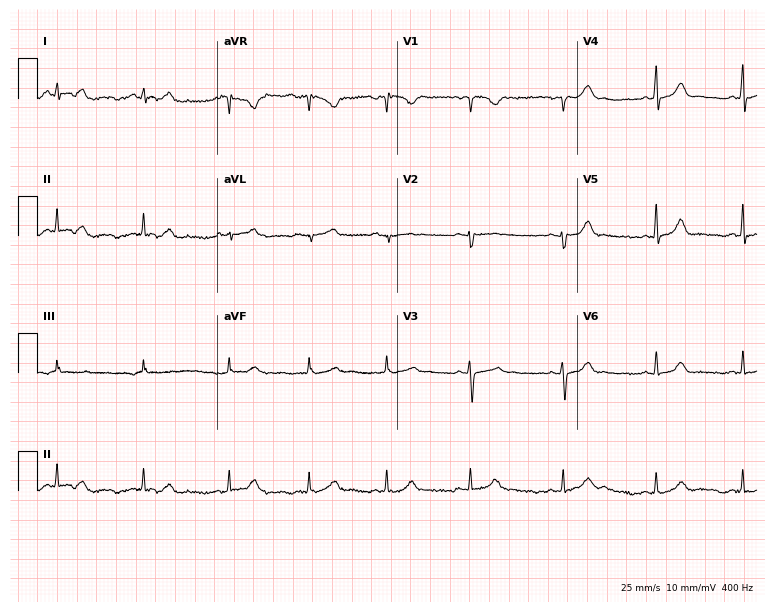
12-lead ECG (7.3-second recording at 400 Hz) from a 21-year-old female patient. Labelled as a normal ECG.